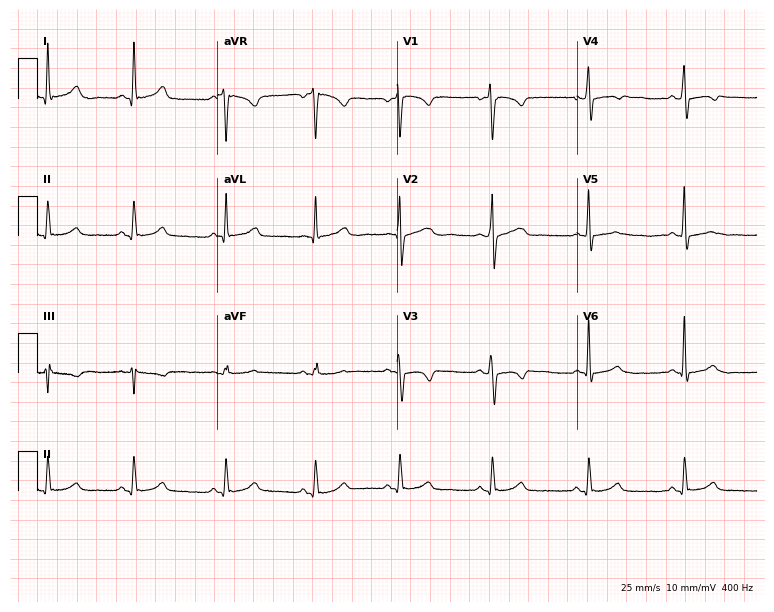
12-lead ECG from a female patient, 32 years old. Recorded interpretation: within normal limits.